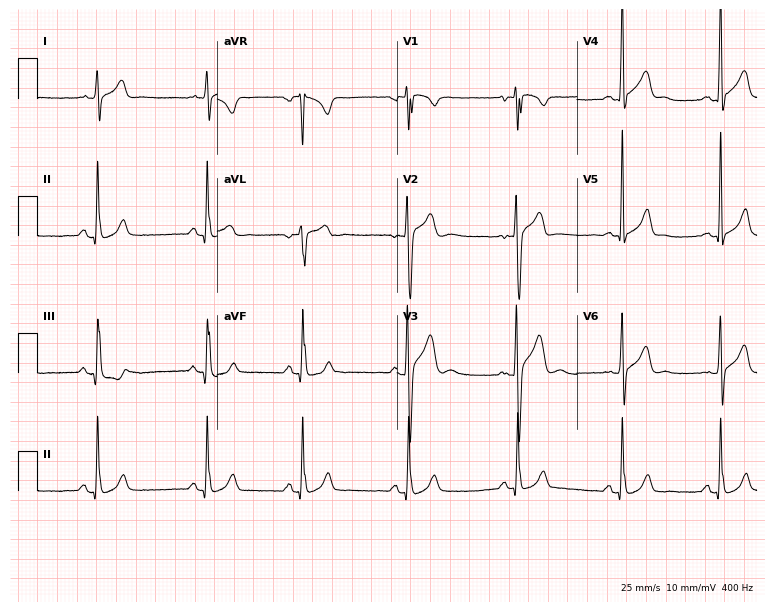
ECG — a man, 17 years old. Labelled as a normal ECG.